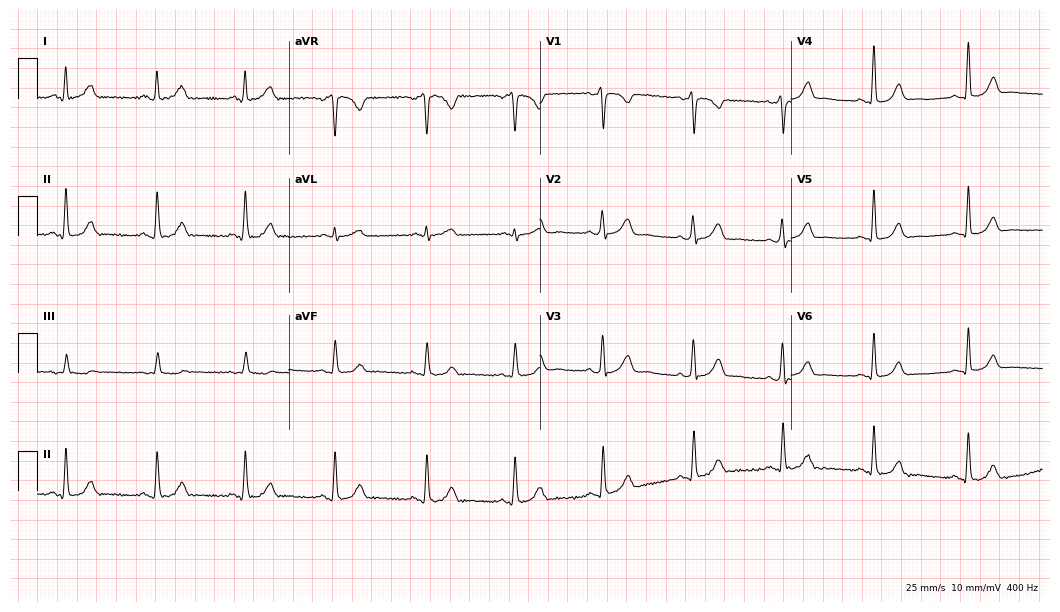
12-lead ECG (10.2-second recording at 400 Hz) from a female patient, 38 years old. Labelled as a normal ECG.